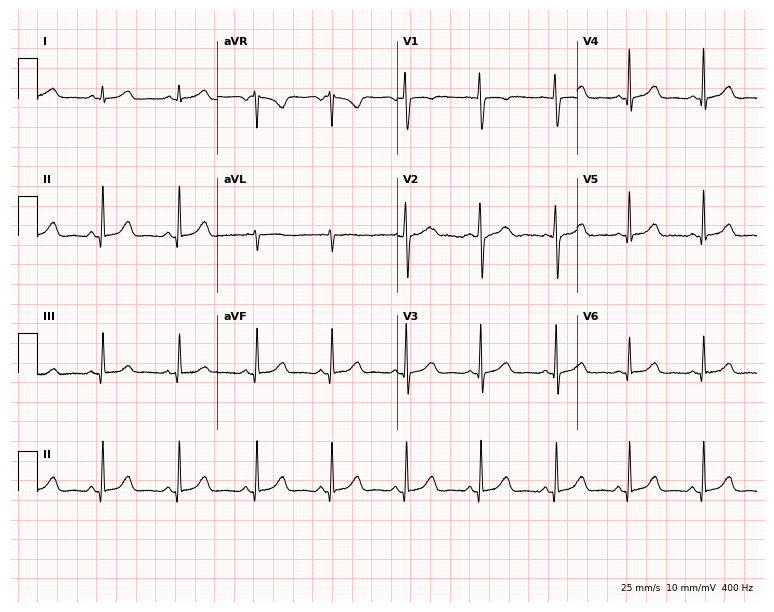
Standard 12-lead ECG recorded from a female, 40 years old. Read as a normal ECG.